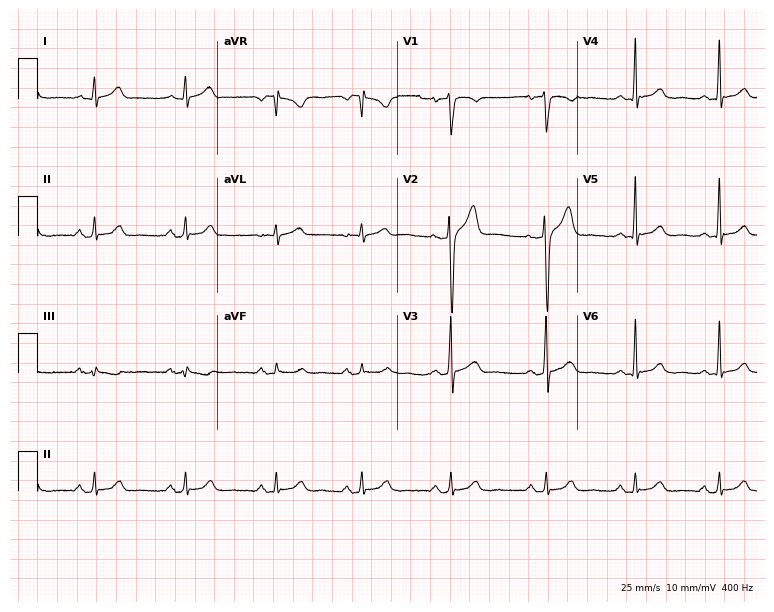
Electrocardiogram (7.3-second recording at 400 Hz), a male patient, 28 years old. Overall reading on record: normal ECG.